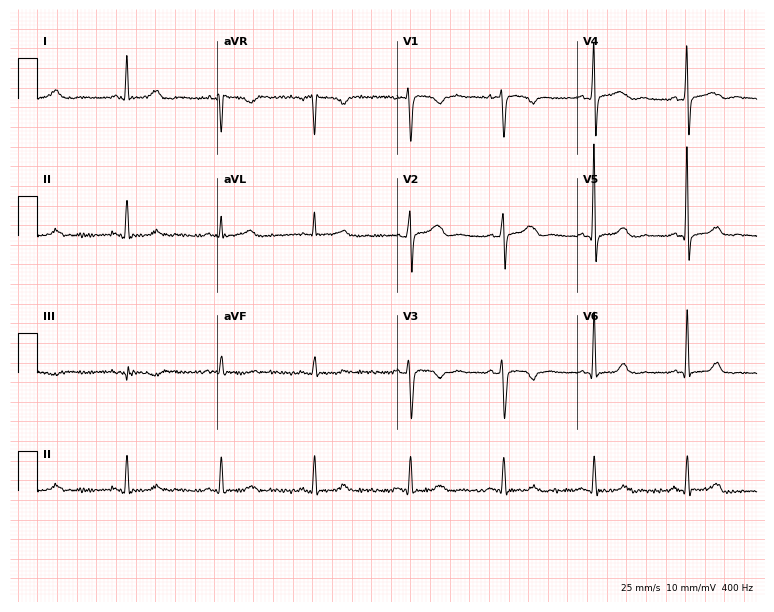
12-lead ECG (7.3-second recording at 400 Hz) from a woman, 38 years old. Screened for six findings — first-degree AV block, right bundle branch block, left bundle branch block, sinus bradycardia, atrial fibrillation, sinus tachycardia — none is recorded. Only these six findings were labelled.